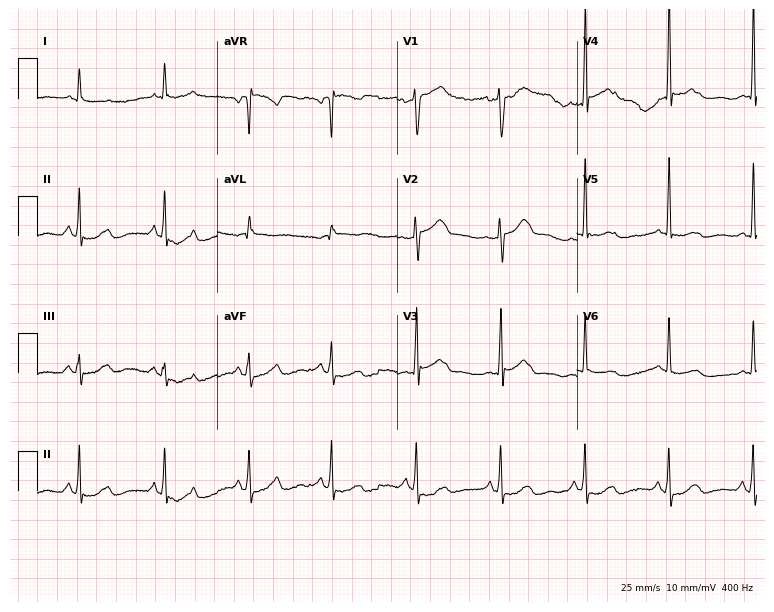
12-lead ECG from a male, 60 years old. Screened for six findings — first-degree AV block, right bundle branch block, left bundle branch block, sinus bradycardia, atrial fibrillation, sinus tachycardia — none is recorded.